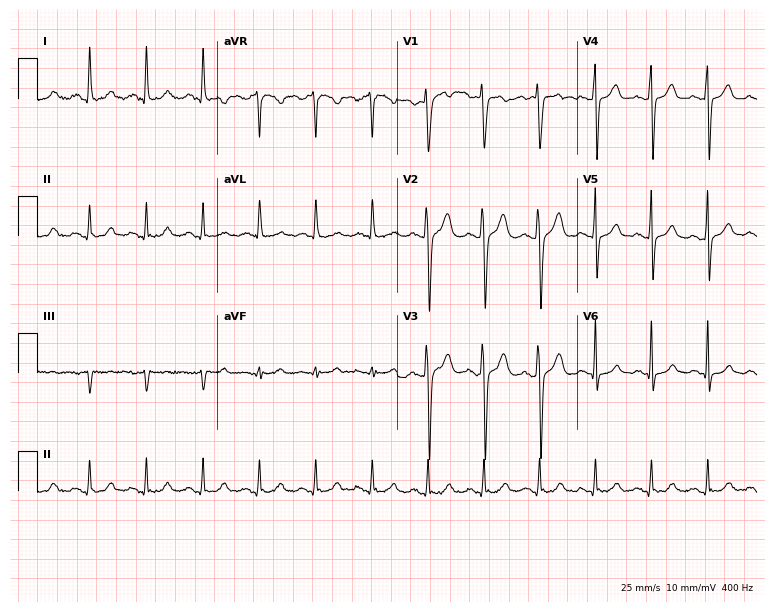
12-lead ECG (7.3-second recording at 400 Hz) from a man, 36 years old. Findings include sinus tachycardia (a sinus rate of 100 beats per minute or more).